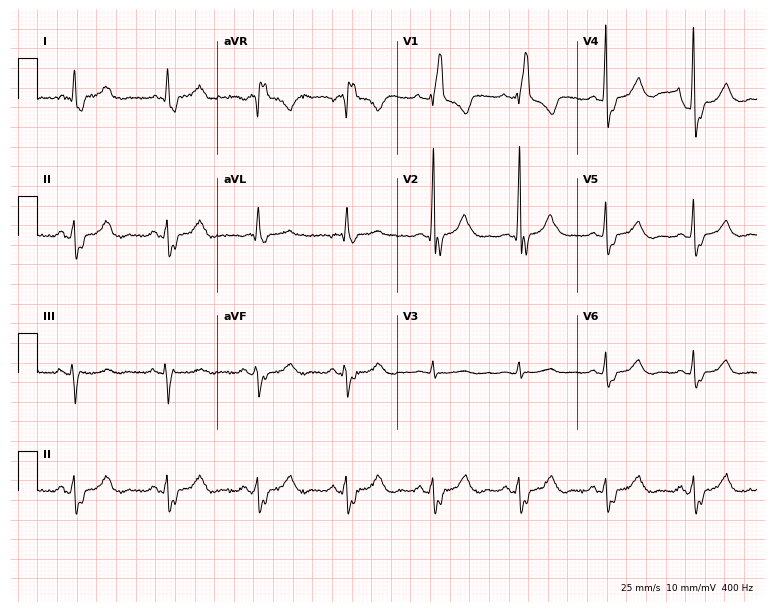
ECG — a female, 79 years old. Findings include right bundle branch block (RBBB).